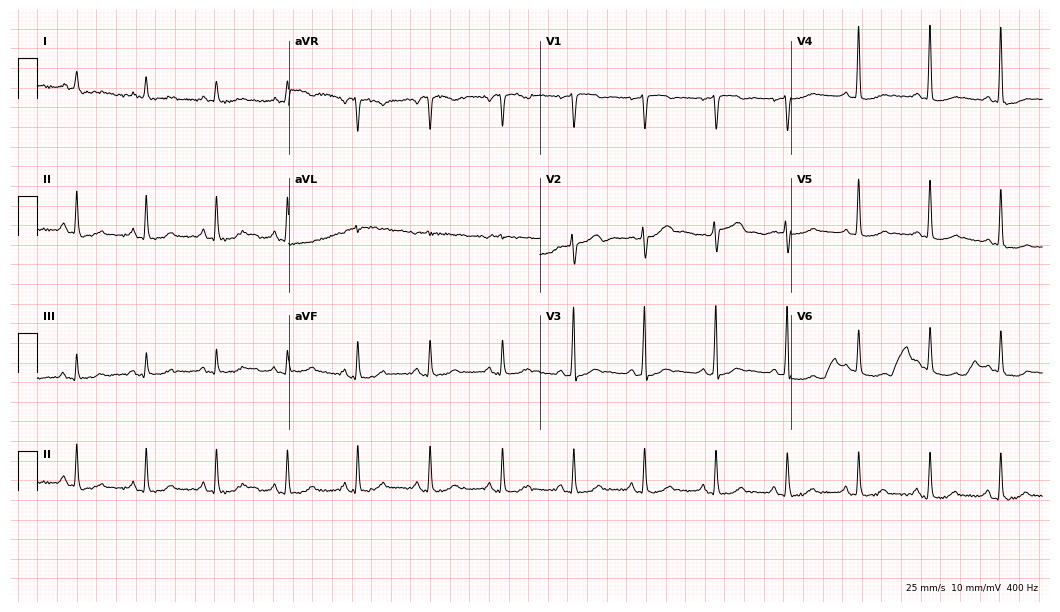
Resting 12-lead electrocardiogram. Patient: a 67-year-old woman. None of these six findings is recorded: first-degree AV block, right bundle branch block, left bundle branch block, sinus bradycardia, atrial fibrillation, sinus tachycardia.